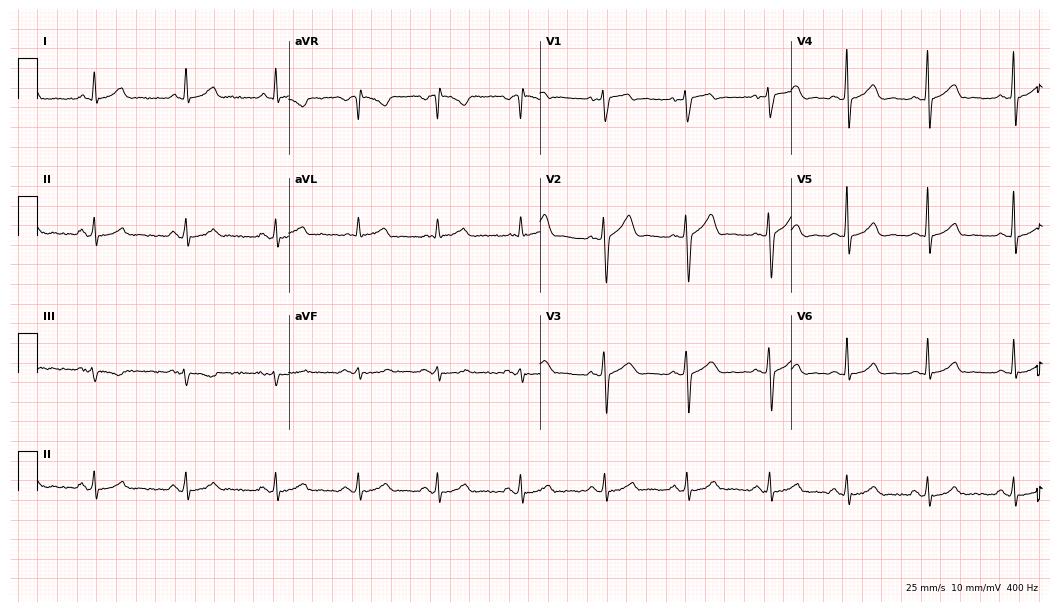
ECG — a male, 47 years old. Labelled as a normal ECG.